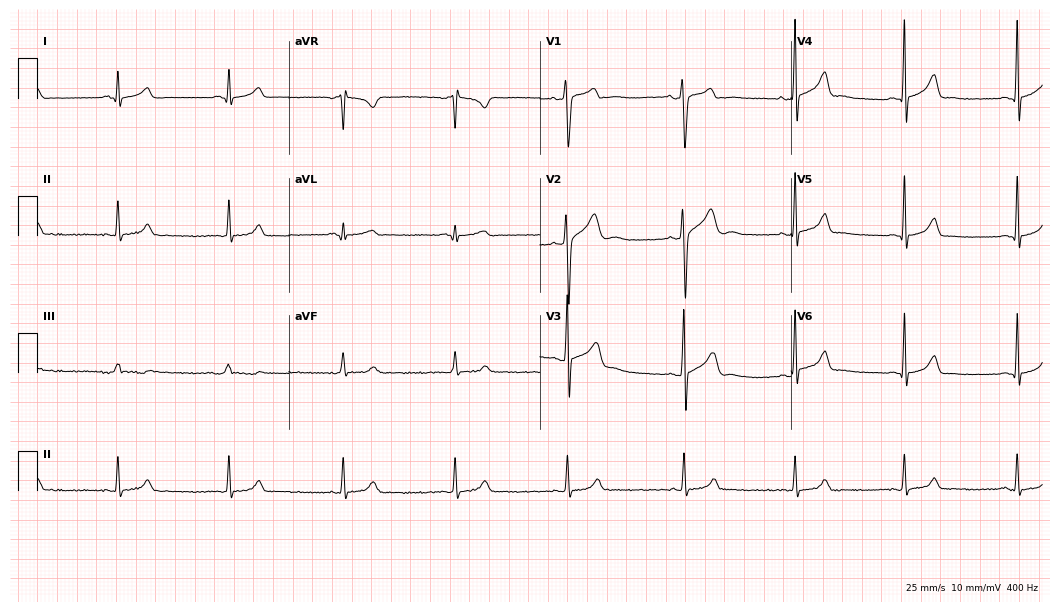
12-lead ECG from a man, 17 years old. Recorded interpretation: within normal limits.